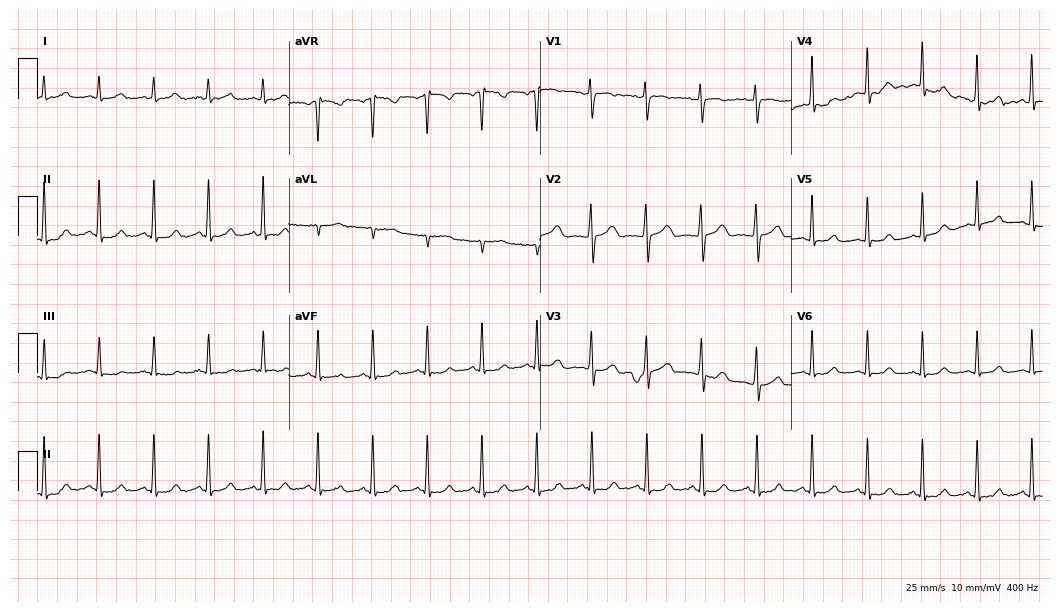
Resting 12-lead electrocardiogram. Patient: a female, 44 years old. The tracing shows sinus tachycardia (a sinus rate of 100 beats per minute or more).